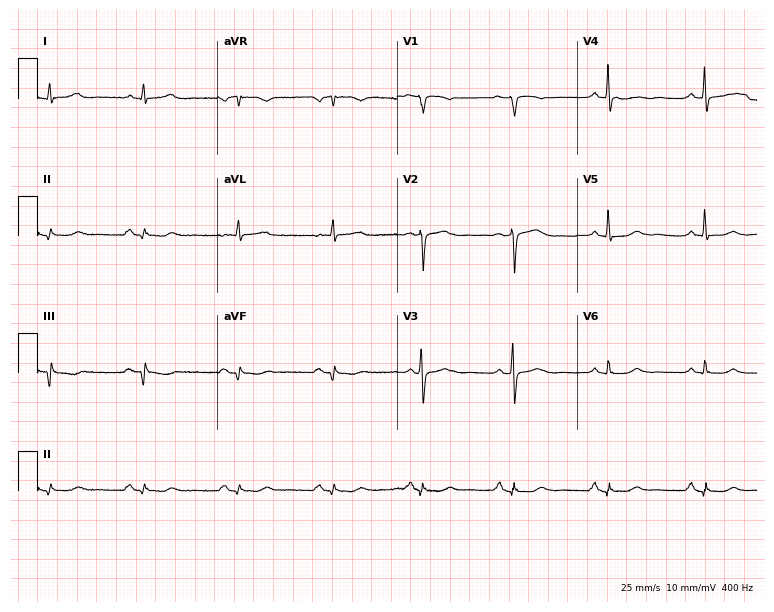
12-lead ECG (7.3-second recording at 400 Hz) from an 81-year-old female. Screened for six findings — first-degree AV block, right bundle branch block, left bundle branch block, sinus bradycardia, atrial fibrillation, sinus tachycardia — none is recorded. Only these six findings were labelled.